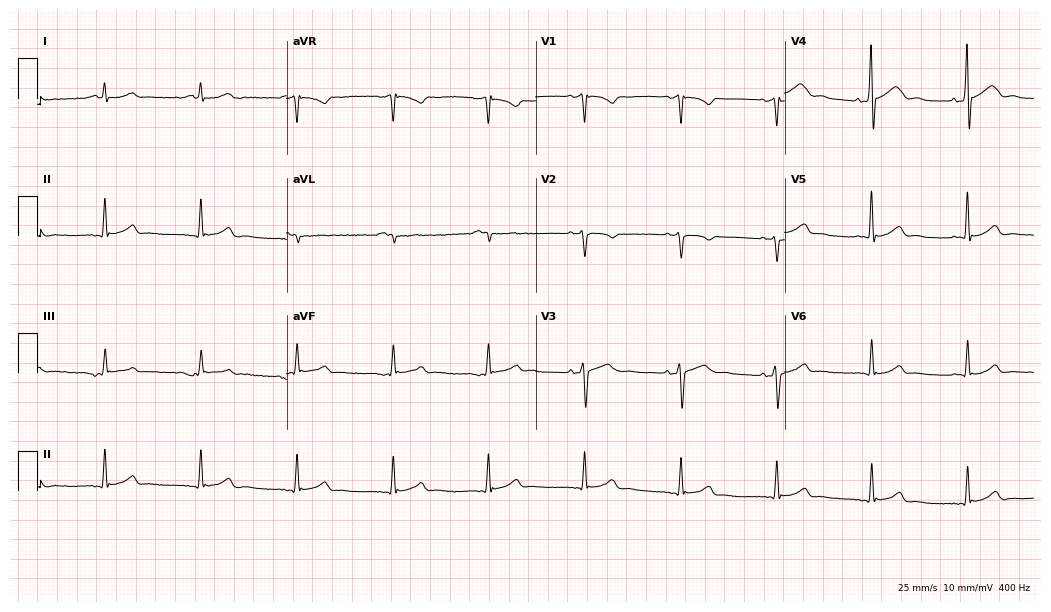
Resting 12-lead electrocardiogram. Patient: a 70-year-old male. None of these six findings is recorded: first-degree AV block, right bundle branch block, left bundle branch block, sinus bradycardia, atrial fibrillation, sinus tachycardia. Findings outside these six are not listed.